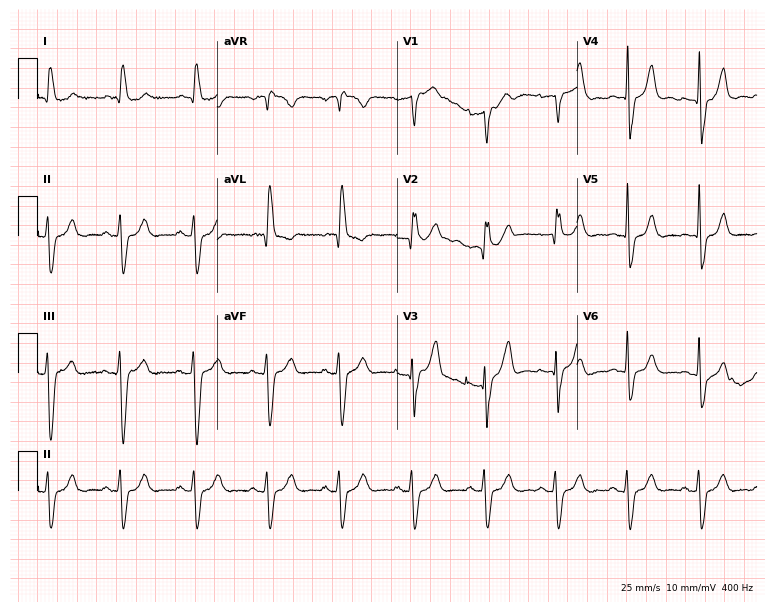
Electrocardiogram (7.3-second recording at 400 Hz), a 70-year-old male patient. Of the six screened findings (first-degree AV block, right bundle branch block, left bundle branch block, sinus bradycardia, atrial fibrillation, sinus tachycardia), none is recorded.